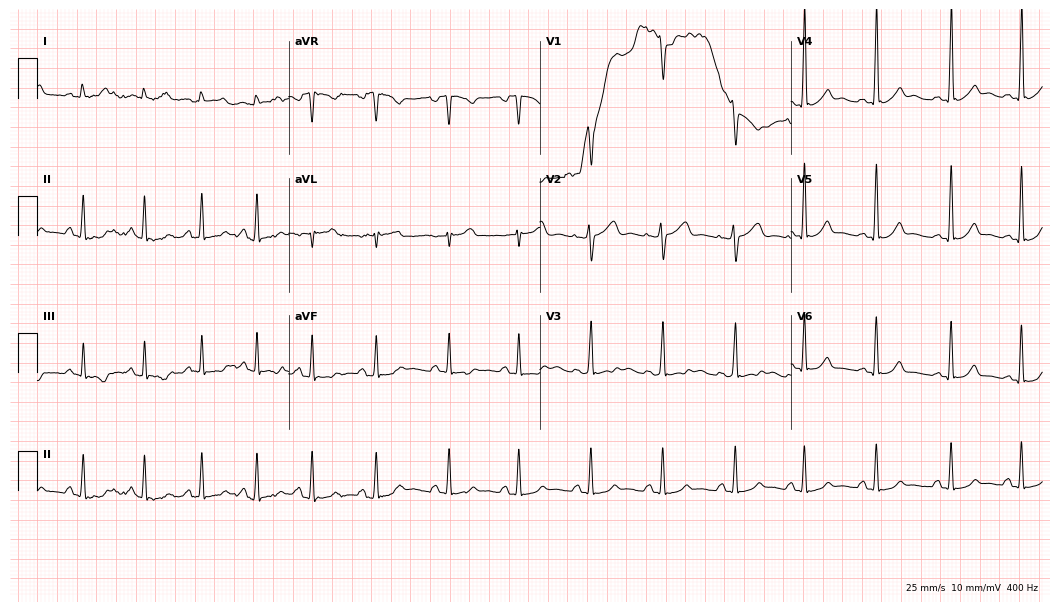
12-lead ECG (10.2-second recording at 400 Hz) from a 28-year-old female. Screened for six findings — first-degree AV block, right bundle branch block, left bundle branch block, sinus bradycardia, atrial fibrillation, sinus tachycardia — none is recorded.